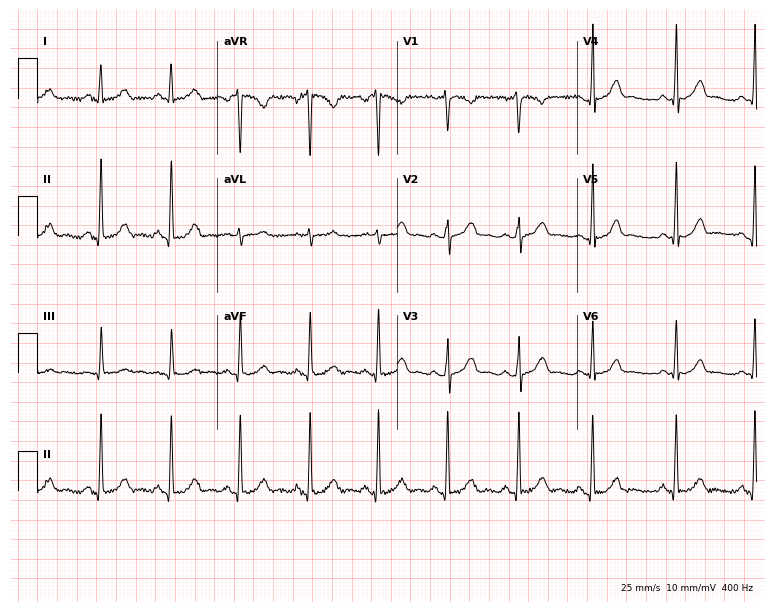
Standard 12-lead ECG recorded from a woman, 41 years old. Read as a normal ECG.